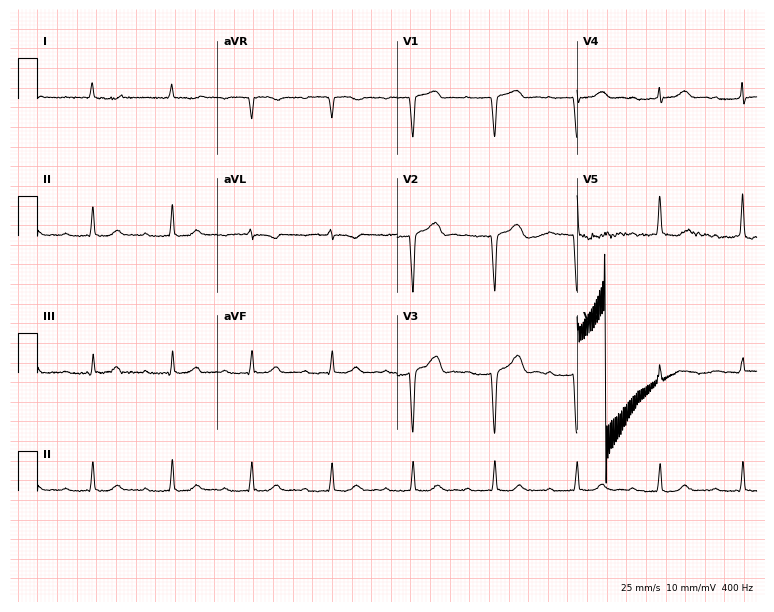
Electrocardiogram, a male, 82 years old. Interpretation includes first-degree AV block, atrial fibrillation.